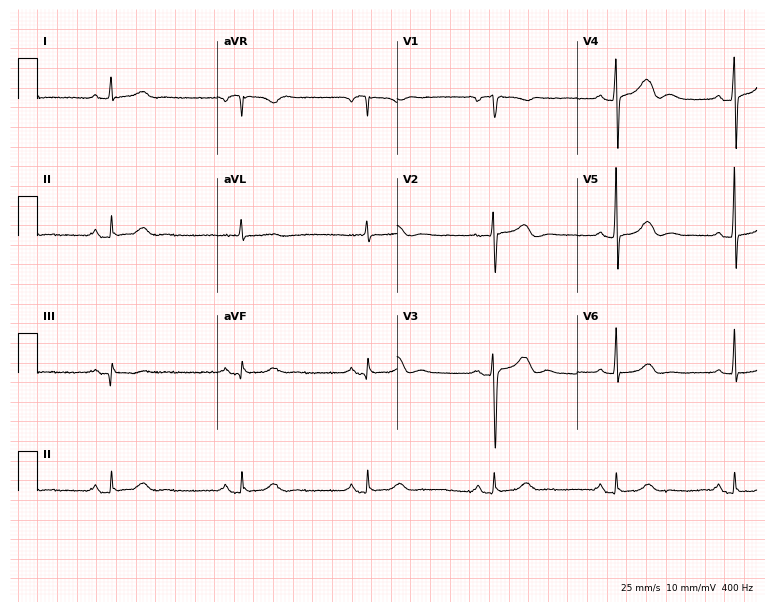
Resting 12-lead electrocardiogram (7.3-second recording at 400 Hz). Patient: a female, 56 years old. The tracing shows sinus bradycardia (a sinus rate of 50 beats per minute or less).